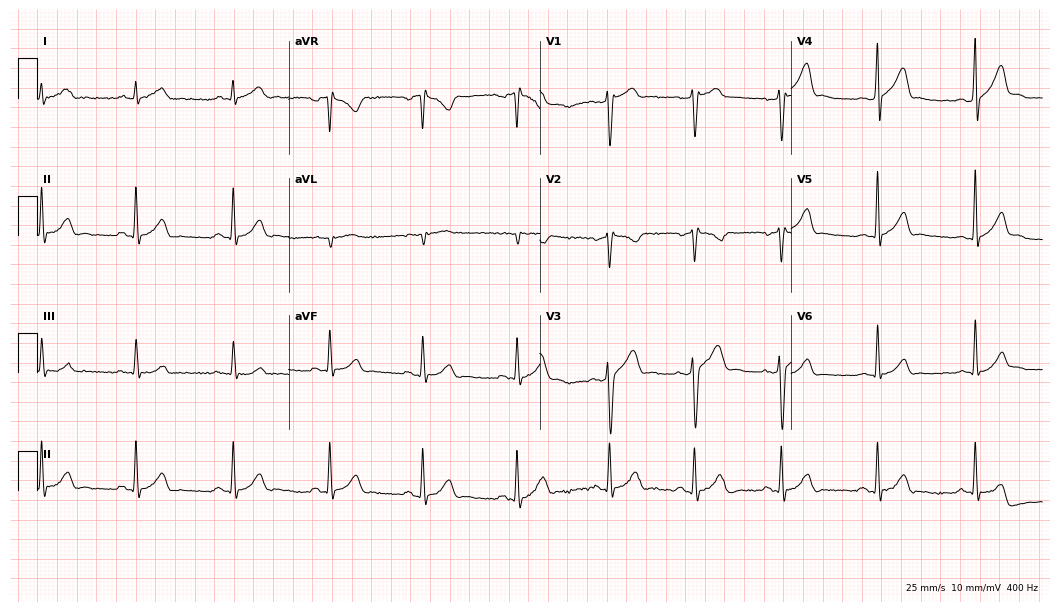
12-lead ECG (10.2-second recording at 400 Hz) from a man, 27 years old. Labelled as a normal ECG.